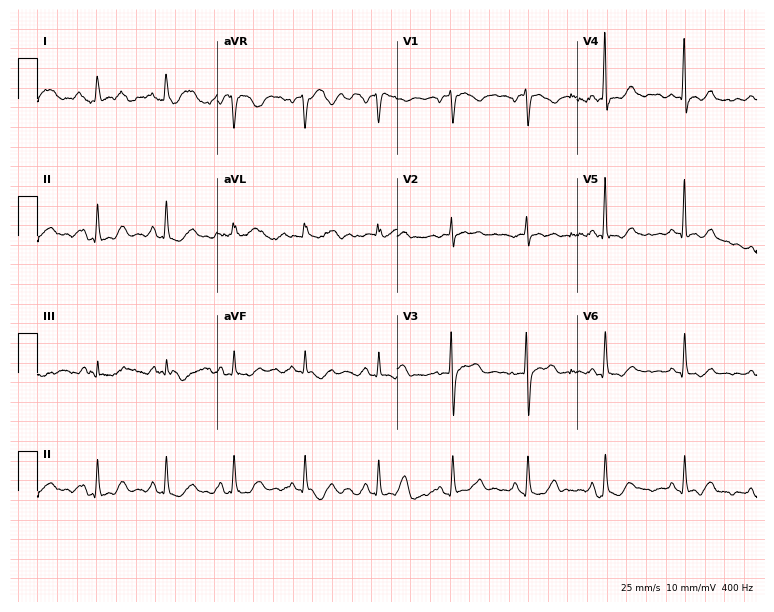
12-lead ECG (7.3-second recording at 400 Hz) from a female, 83 years old. Screened for six findings — first-degree AV block, right bundle branch block, left bundle branch block, sinus bradycardia, atrial fibrillation, sinus tachycardia — none is recorded. Only these six findings were labelled.